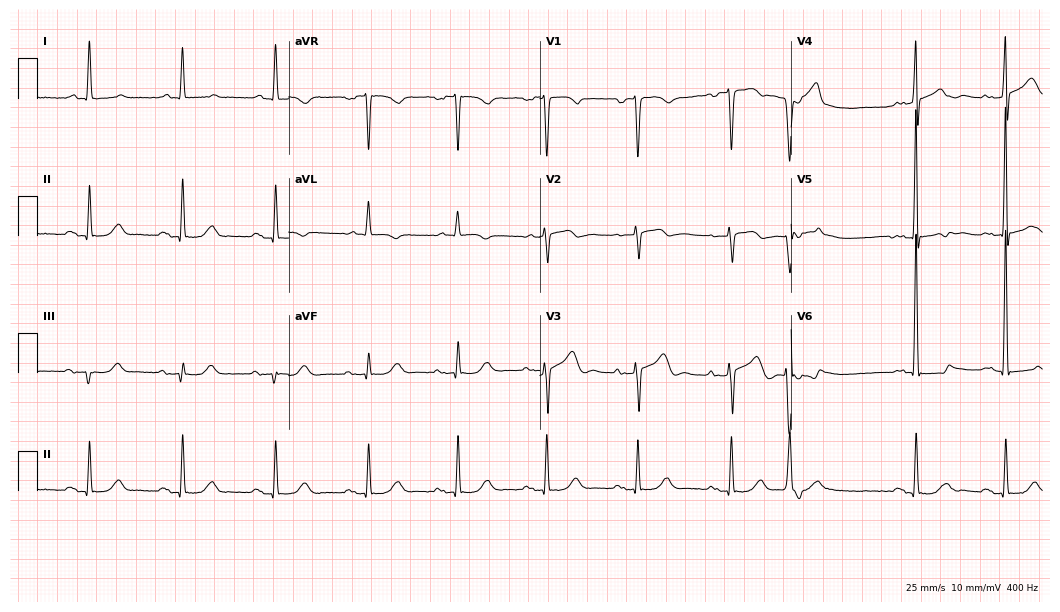
12-lead ECG (10.2-second recording at 400 Hz) from an 80-year-old male. Screened for six findings — first-degree AV block, right bundle branch block, left bundle branch block, sinus bradycardia, atrial fibrillation, sinus tachycardia — none is recorded.